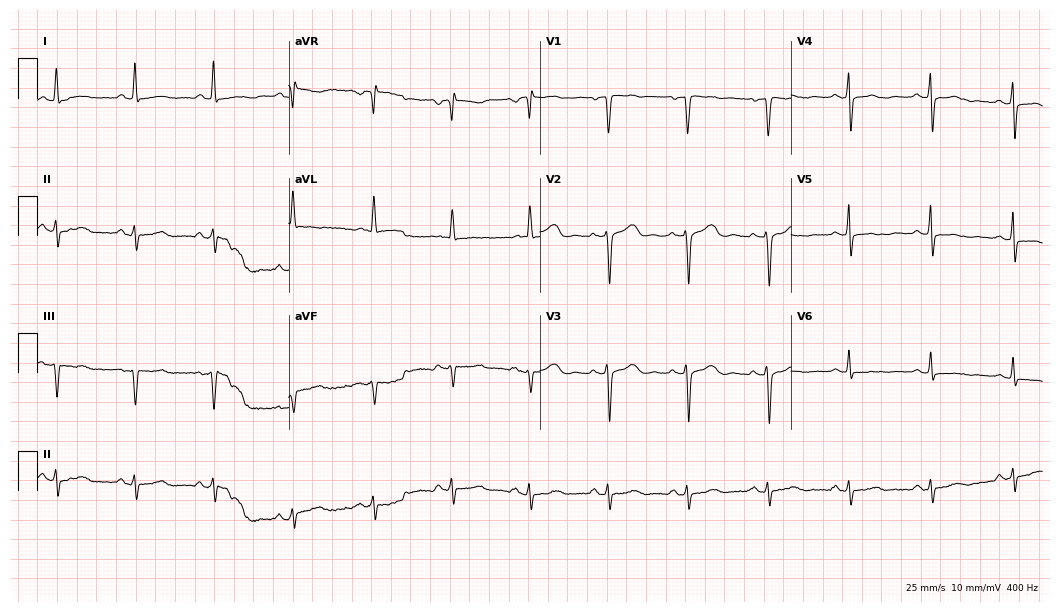
Resting 12-lead electrocardiogram (10.2-second recording at 400 Hz). Patient: a female, 65 years old. None of these six findings is recorded: first-degree AV block, right bundle branch block (RBBB), left bundle branch block (LBBB), sinus bradycardia, atrial fibrillation (AF), sinus tachycardia.